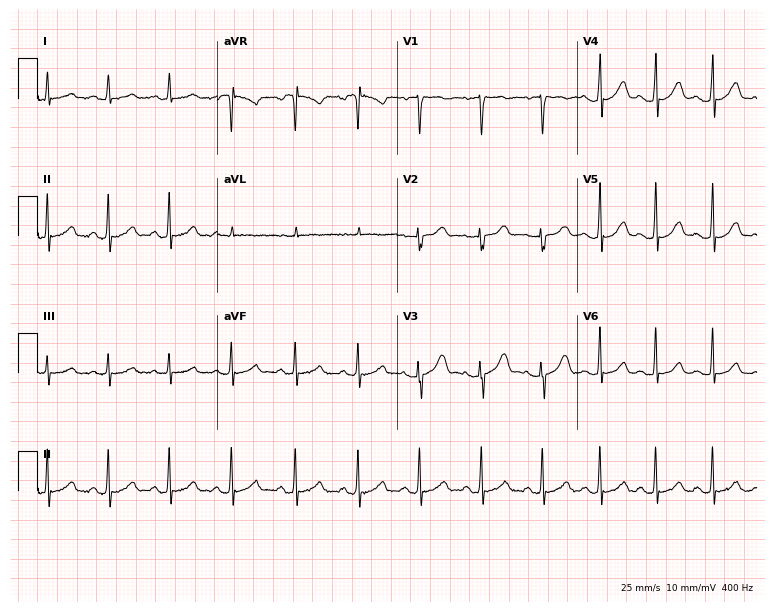
Electrocardiogram, a woman, 28 years old. Of the six screened findings (first-degree AV block, right bundle branch block, left bundle branch block, sinus bradycardia, atrial fibrillation, sinus tachycardia), none is recorded. Findings outside these six are not listed.